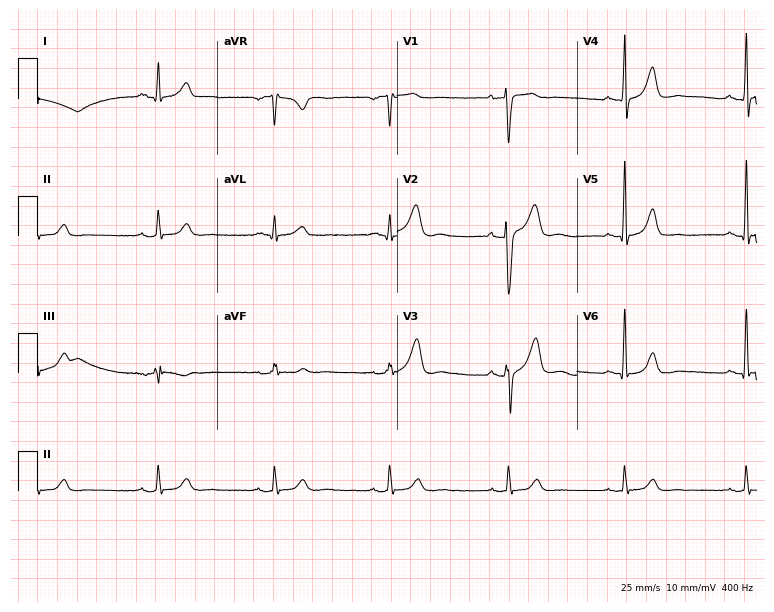
Resting 12-lead electrocardiogram (7.3-second recording at 400 Hz). Patient: a man, 38 years old. Read as a normal ECG.